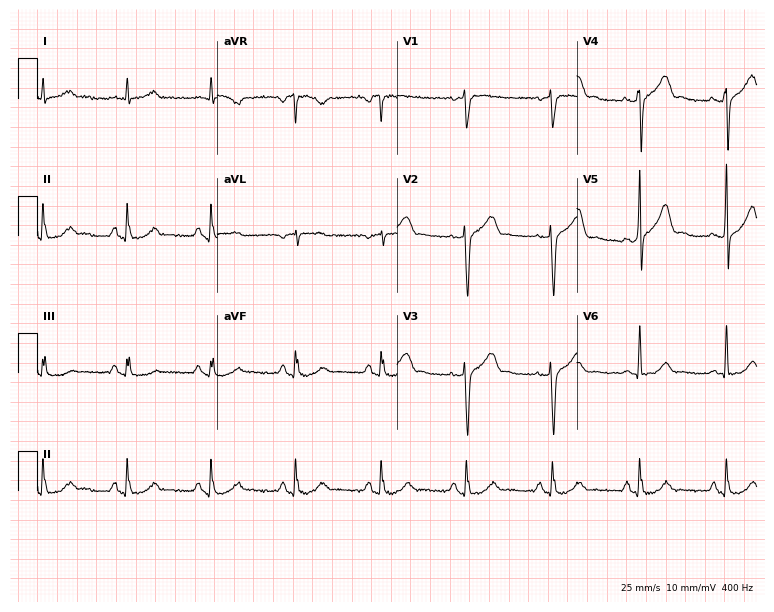
12-lead ECG from a male, 56 years old. Labelled as a normal ECG.